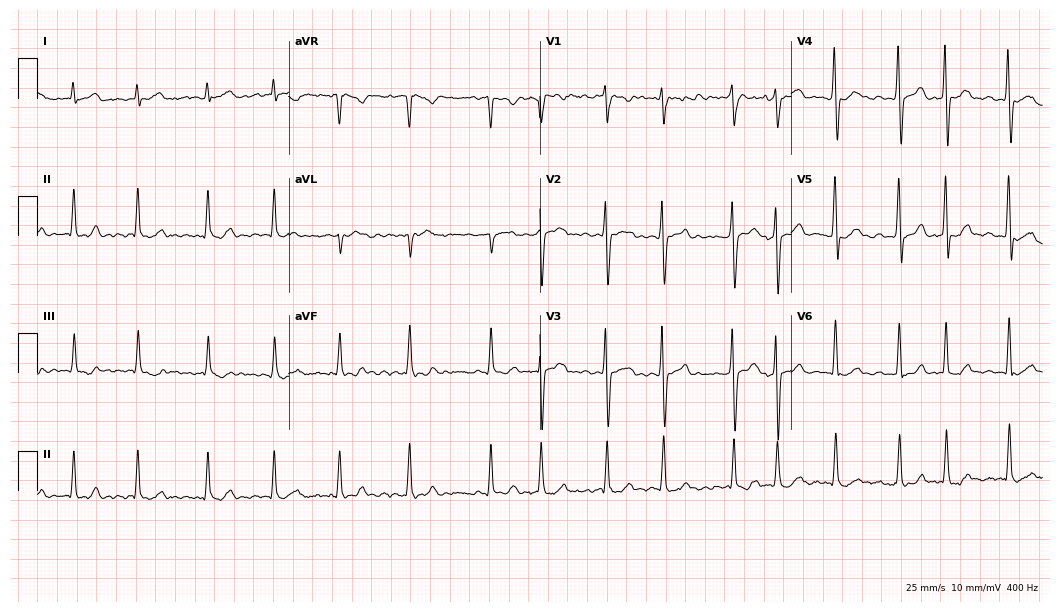
12-lead ECG from a female, 61 years old. Findings include atrial fibrillation.